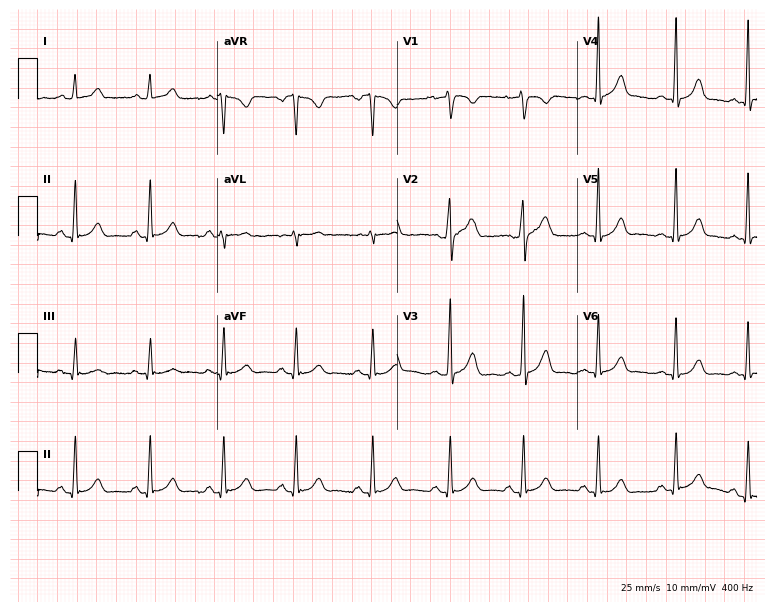
Standard 12-lead ECG recorded from a female, 28 years old (7.3-second recording at 400 Hz). Read as a normal ECG.